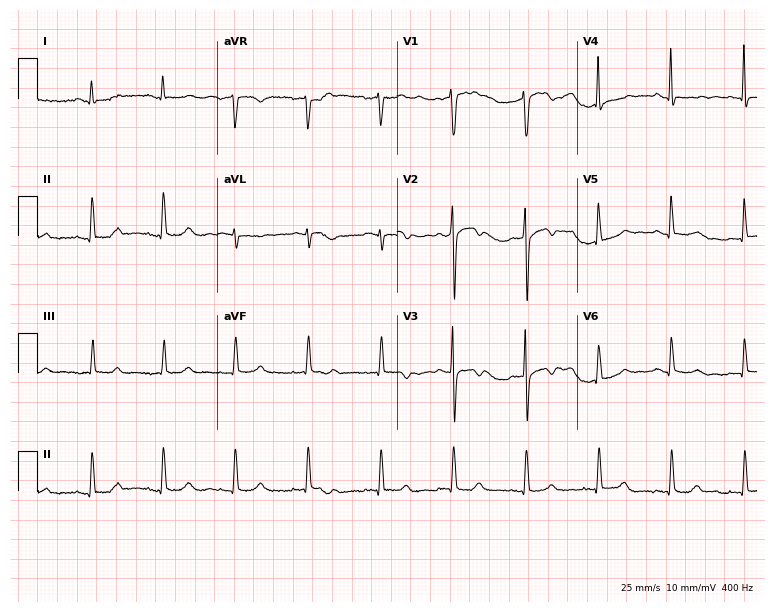
ECG — a female, 76 years old. Screened for six findings — first-degree AV block, right bundle branch block (RBBB), left bundle branch block (LBBB), sinus bradycardia, atrial fibrillation (AF), sinus tachycardia — none is recorded. Other findings, if any, are not listed.